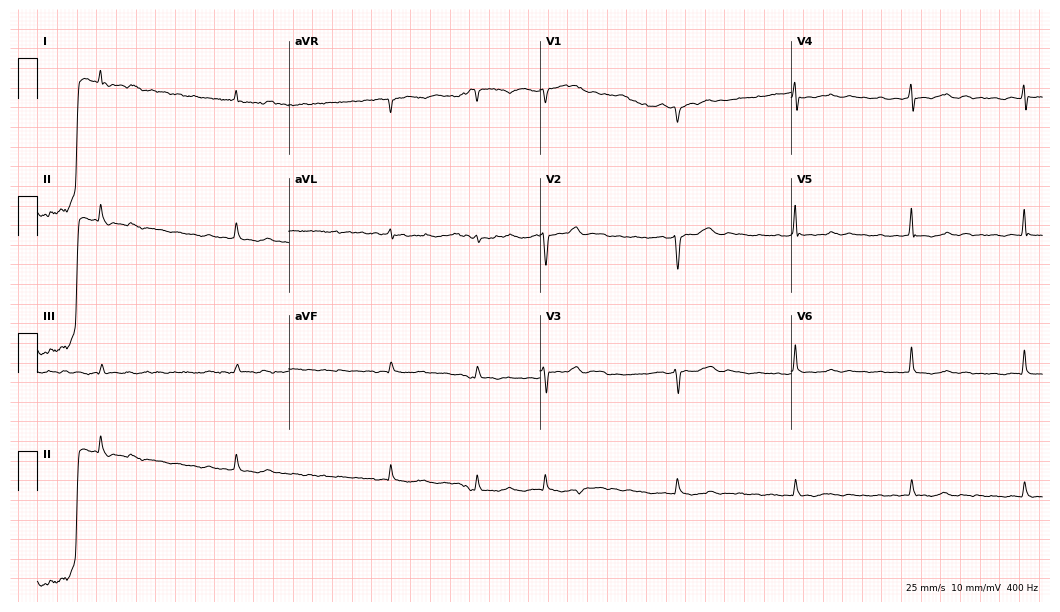
12-lead ECG (10.2-second recording at 400 Hz) from a female patient, 41 years old. Screened for six findings — first-degree AV block, right bundle branch block, left bundle branch block, sinus bradycardia, atrial fibrillation, sinus tachycardia — none is recorded.